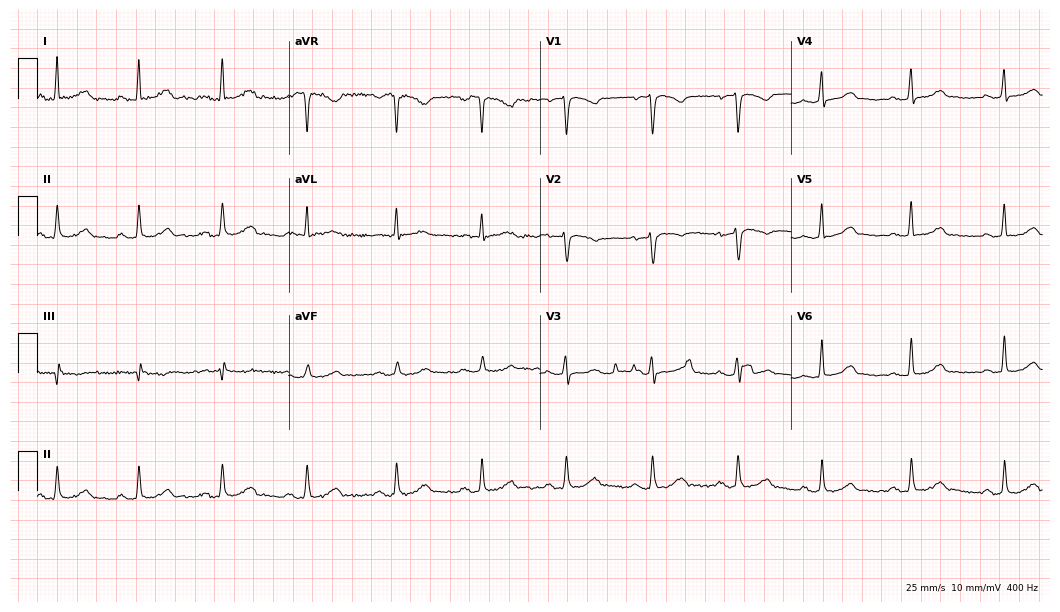
ECG (10.2-second recording at 400 Hz) — a female patient, 35 years old. Labelled as a normal ECG.